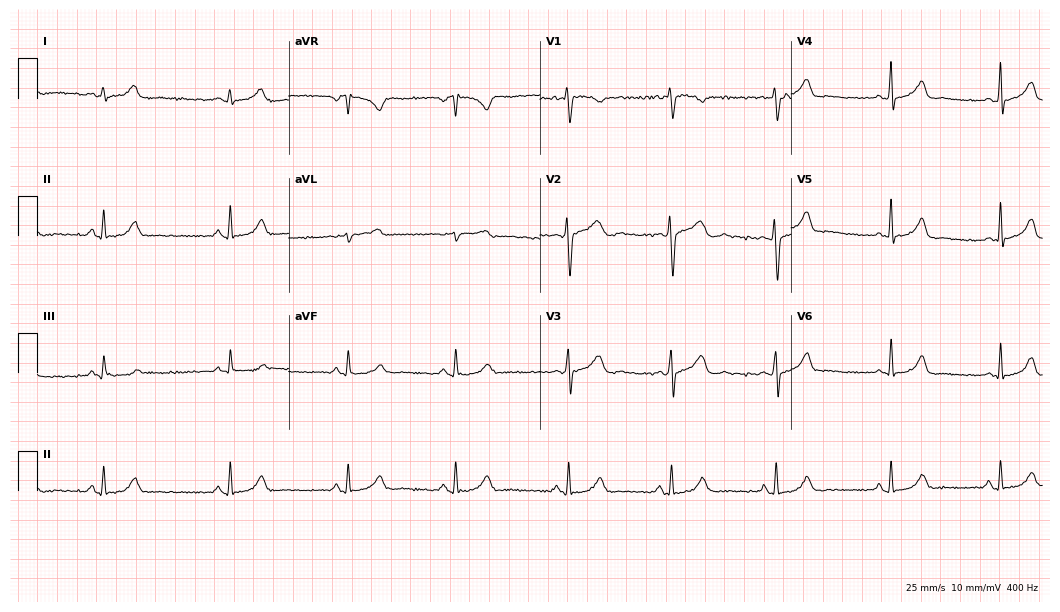
12-lead ECG from a woman, 26 years old. Labelled as a normal ECG.